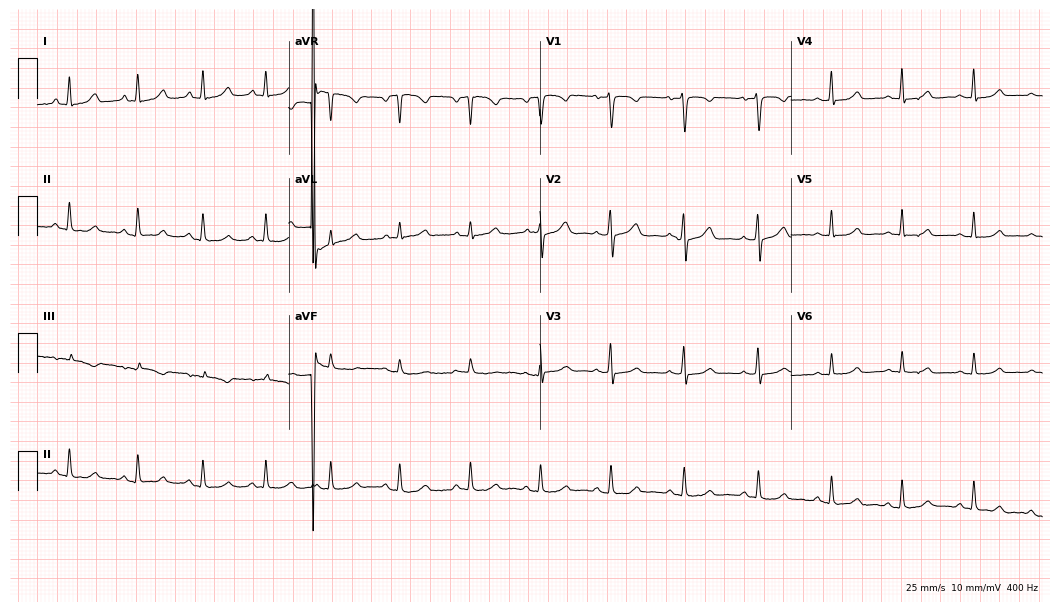
Standard 12-lead ECG recorded from a 25-year-old female patient. Read as a normal ECG.